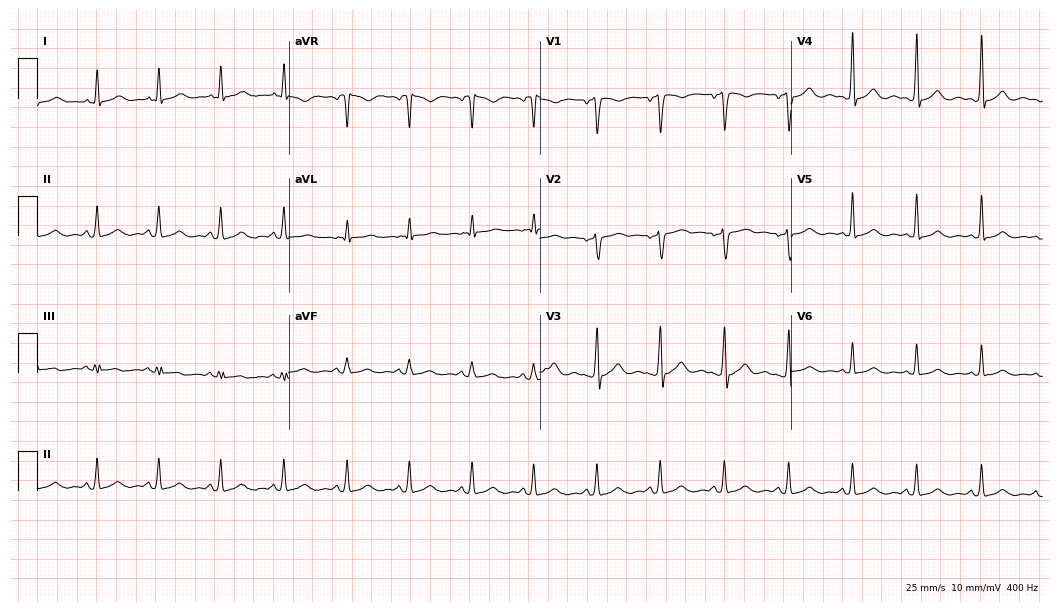
12-lead ECG from a female patient, 47 years old. Labelled as a normal ECG.